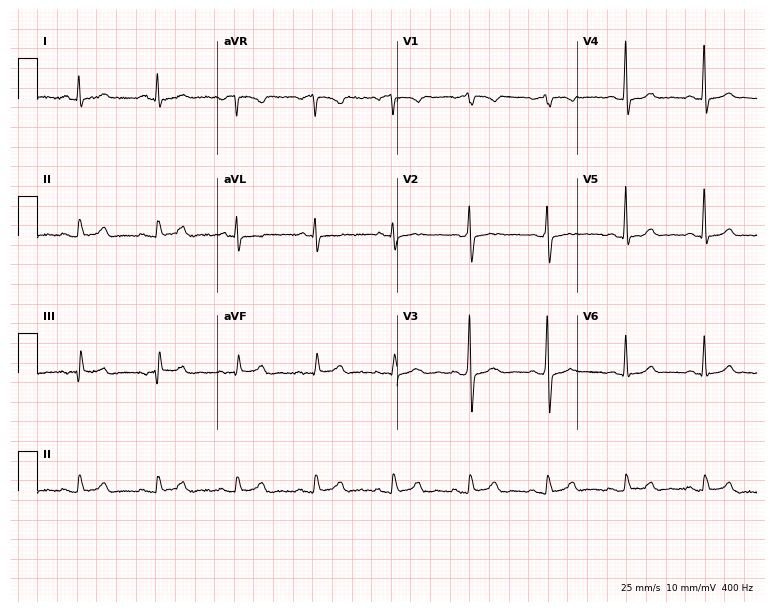
ECG (7.3-second recording at 400 Hz) — a 46-year-old man. Screened for six findings — first-degree AV block, right bundle branch block (RBBB), left bundle branch block (LBBB), sinus bradycardia, atrial fibrillation (AF), sinus tachycardia — none is recorded.